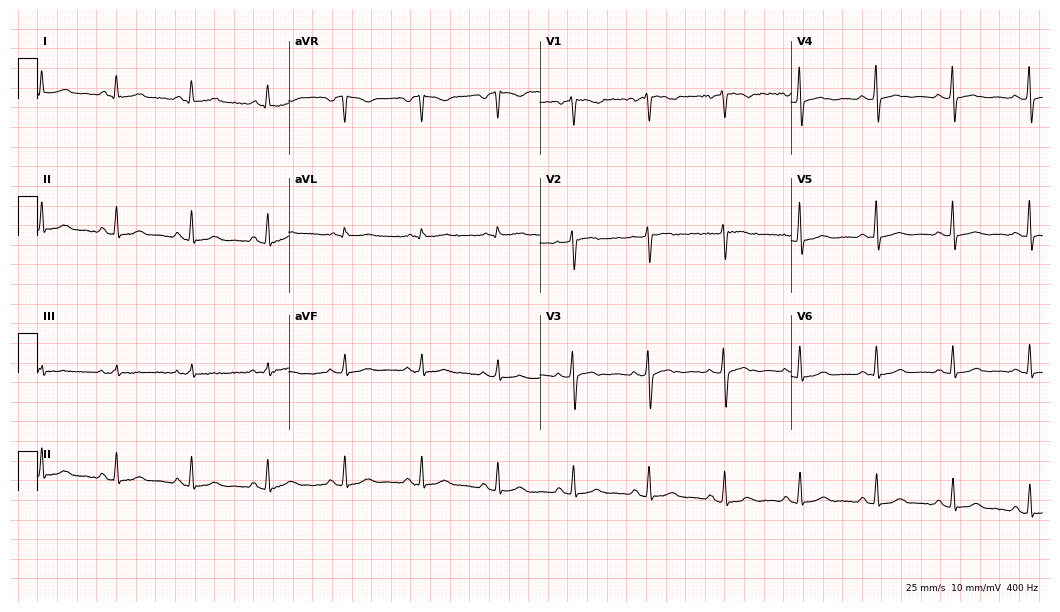
Electrocardiogram (10.2-second recording at 400 Hz), a 62-year-old woman. Overall reading on record: normal ECG.